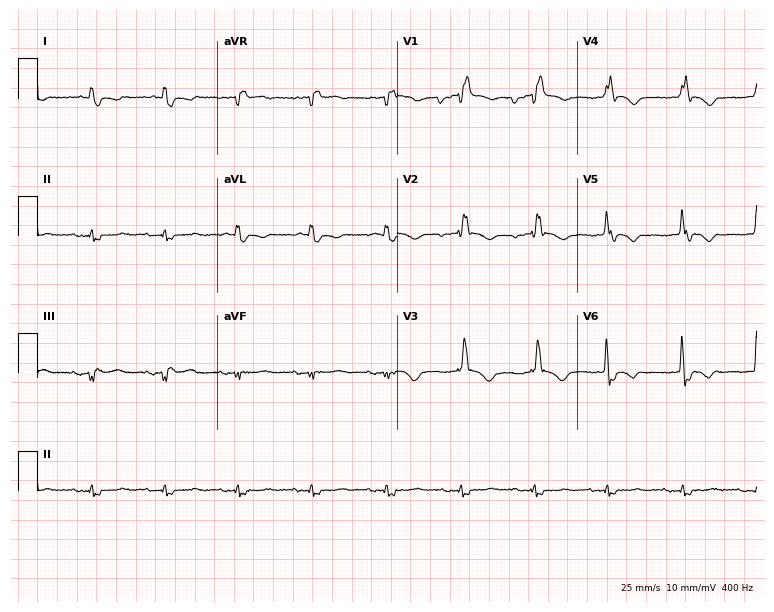
Electrocardiogram (7.3-second recording at 400 Hz), a 64-year-old male patient. Interpretation includes right bundle branch block.